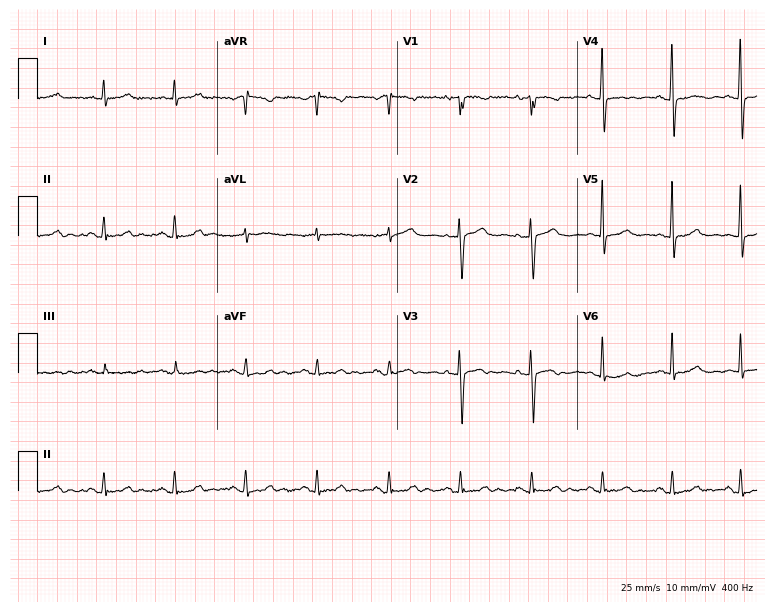
12-lead ECG (7.3-second recording at 400 Hz) from a 71-year-old female patient. Screened for six findings — first-degree AV block, right bundle branch block, left bundle branch block, sinus bradycardia, atrial fibrillation, sinus tachycardia — none is recorded. Only these six findings were labelled.